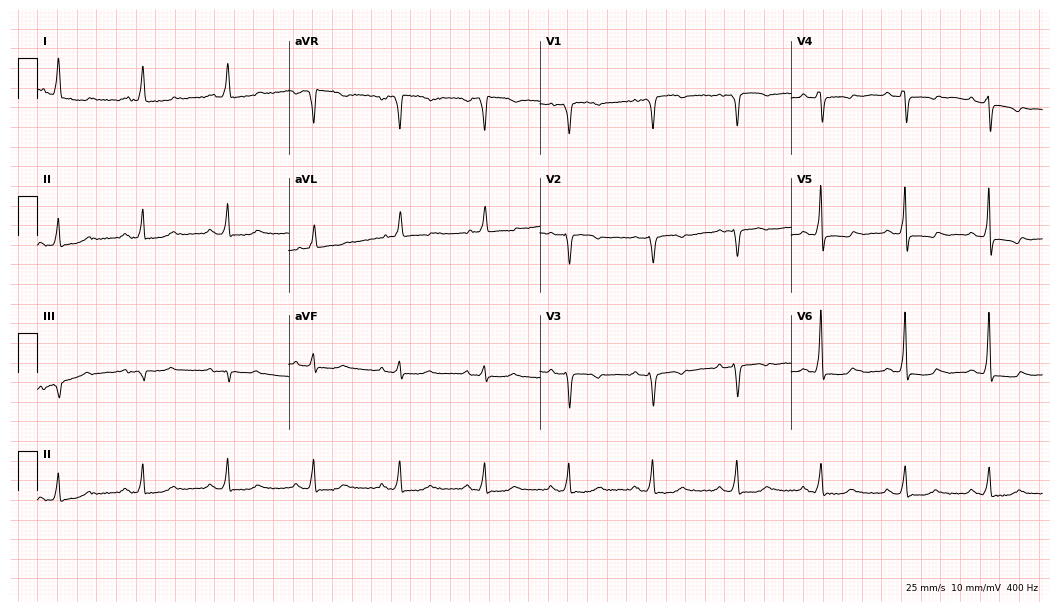
Resting 12-lead electrocardiogram (10.2-second recording at 400 Hz). Patient: a female, 84 years old. None of these six findings is recorded: first-degree AV block, right bundle branch block, left bundle branch block, sinus bradycardia, atrial fibrillation, sinus tachycardia. Other findings, if any, are not listed.